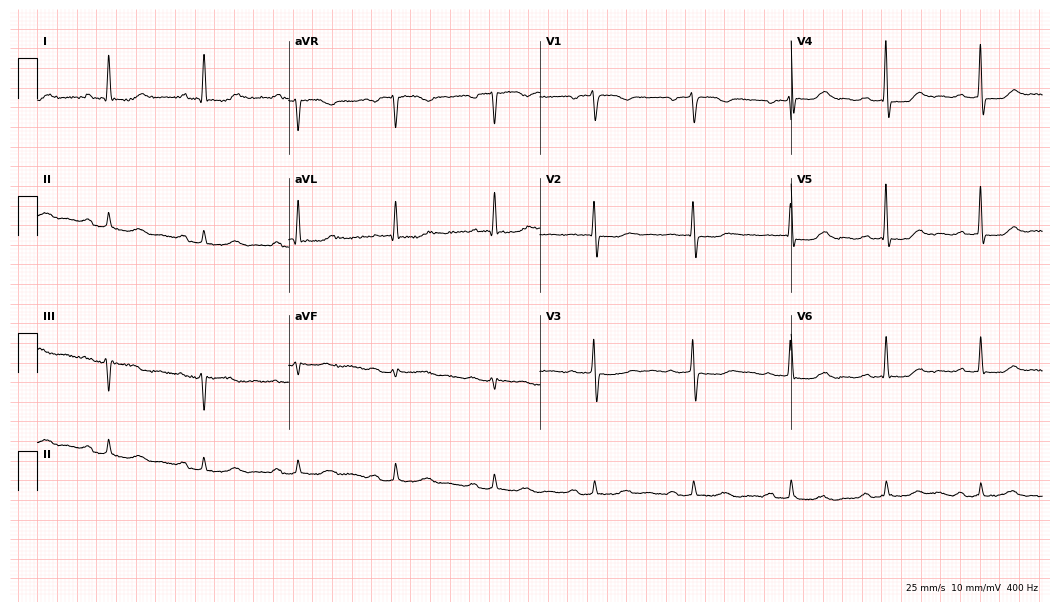
Resting 12-lead electrocardiogram. Patient: a 68-year-old female. None of these six findings is recorded: first-degree AV block, right bundle branch block (RBBB), left bundle branch block (LBBB), sinus bradycardia, atrial fibrillation (AF), sinus tachycardia.